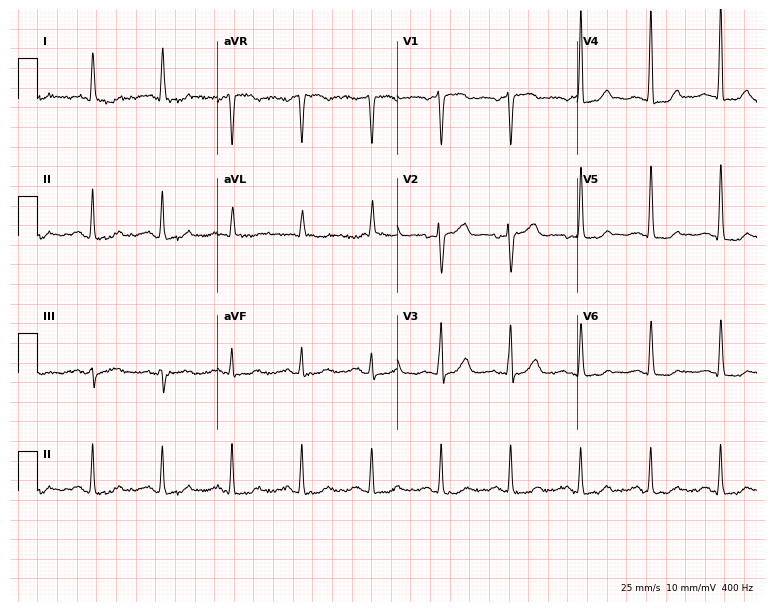
ECG — a 73-year-old female patient. Screened for six findings — first-degree AV block, right bundle branch block (RBBB), left bundle branch block (LBBB), sinus bradycardia, atrial fibrillation (AF), sinus tachycardia — none is recorded. Findings outside these six are not listed.